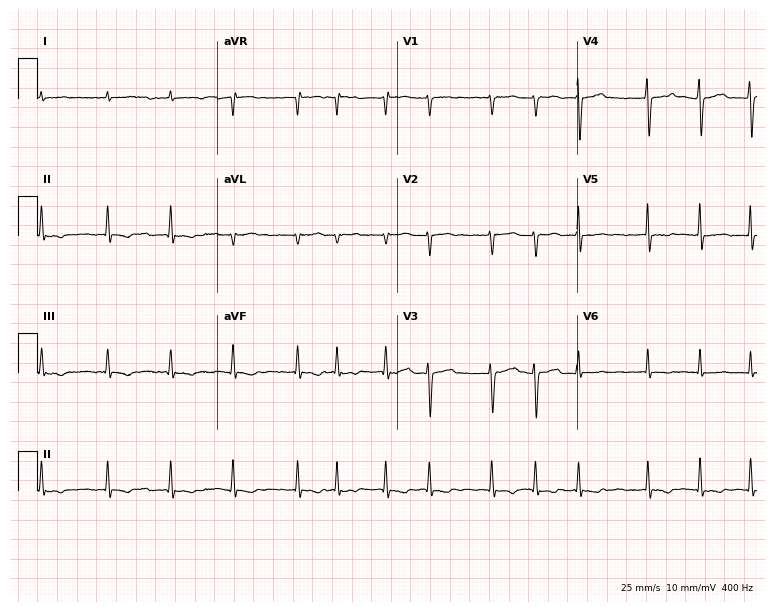
Standard 12-lead ECG recorded from a male, 64 years old (7.3-second recording at 400 Hz). The tracing shows atrial fibrillation.